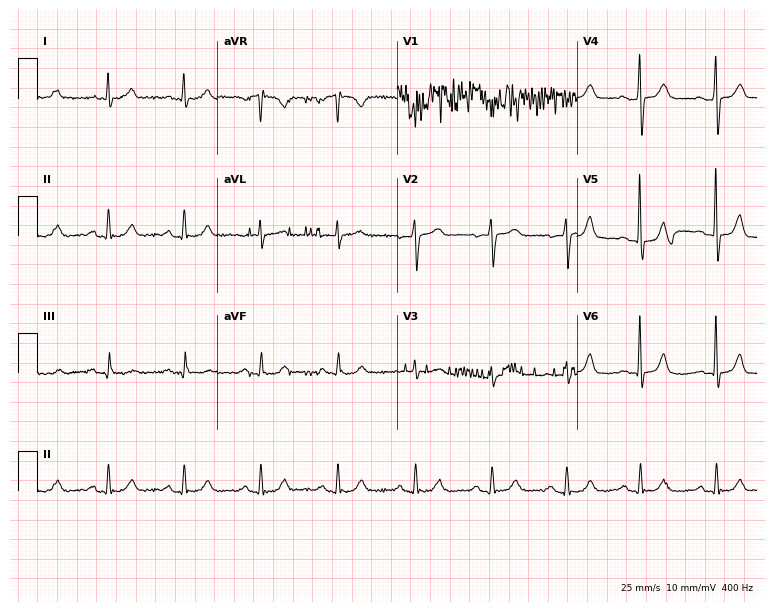
ECG — a woman, 72 years old. Labelled as a normal ECG.